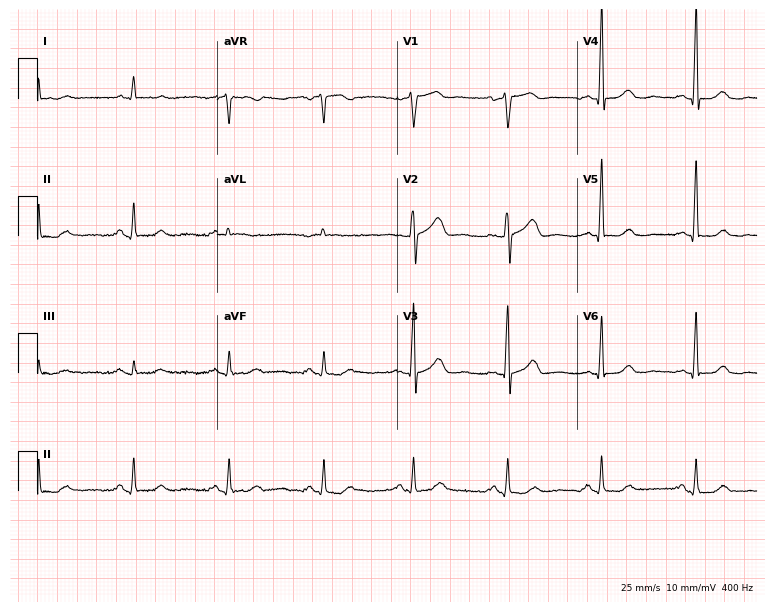
Electrocardiogram, a male patient, 52 years old. Overall reading on record: normal ECG.